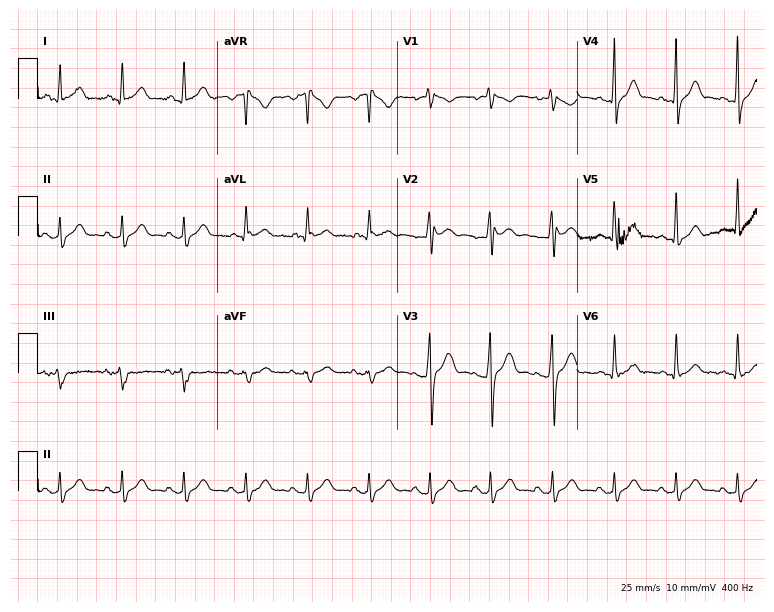
Standard 12-lead ECG recorded from a 25-year-old male. None of these six findings is recorded: first-degree AV block, right bundle branch block, left bundle branch block, sinus bradycardia, atrial fibrillation, sinus tachycardia. Other findings, if any, are not listed.